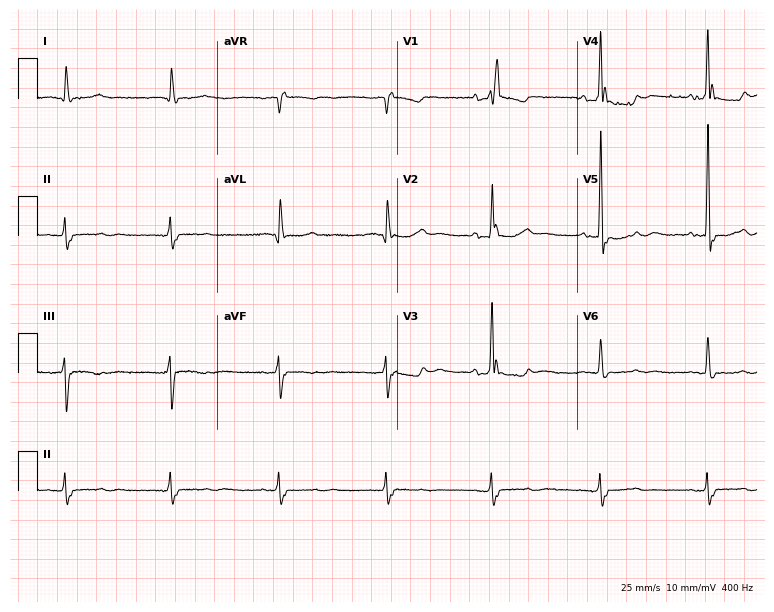
Electrocardiogram (7.3-second recording at 400 Hz), a 78-year-old male patient. Interpretation includes right bundle branch block (RBBB).